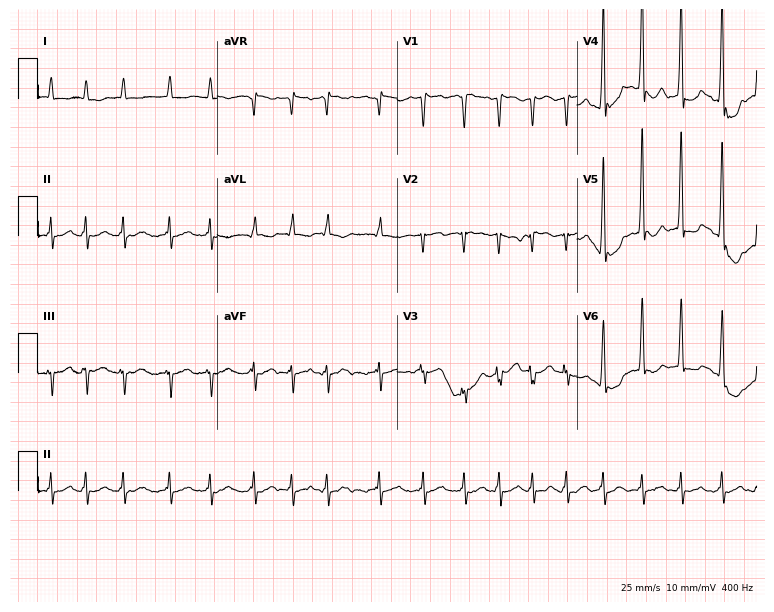
Electrocardiogram, a 79-year-old male patient. Interpretation includes atrial fibrillation (AF).